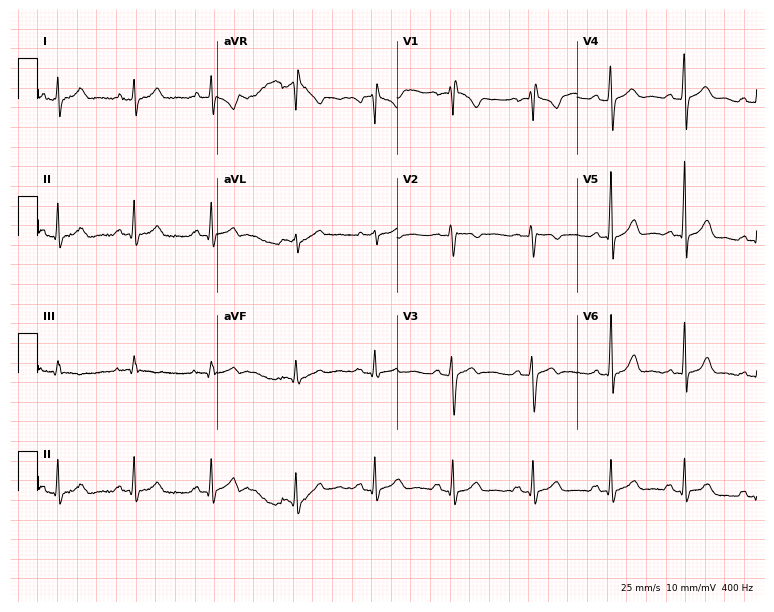
Standard 12-lead ECG recorded from an 18-year-old man. None of these six findings is recorded: first-degree AV block, right bundle branch block (RBBB), left bundle branch block (LBBB), sinus bradycardia, atrial fibrillation (AF), sinus tachycardia. Only these six findings were labelled.